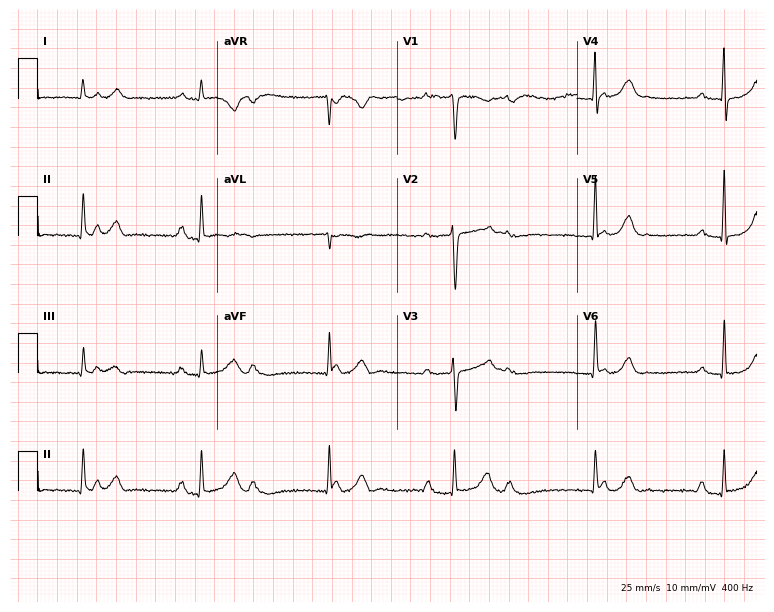
12-lead ECG from a female patient, 35 years old. No first-degree AV block, right bundle branch block (RBBB), left bundle branch block (LBBB), sinus bradycardia, atrial fibrillation (AF) or sinus tachycardia recorded for this tracing.